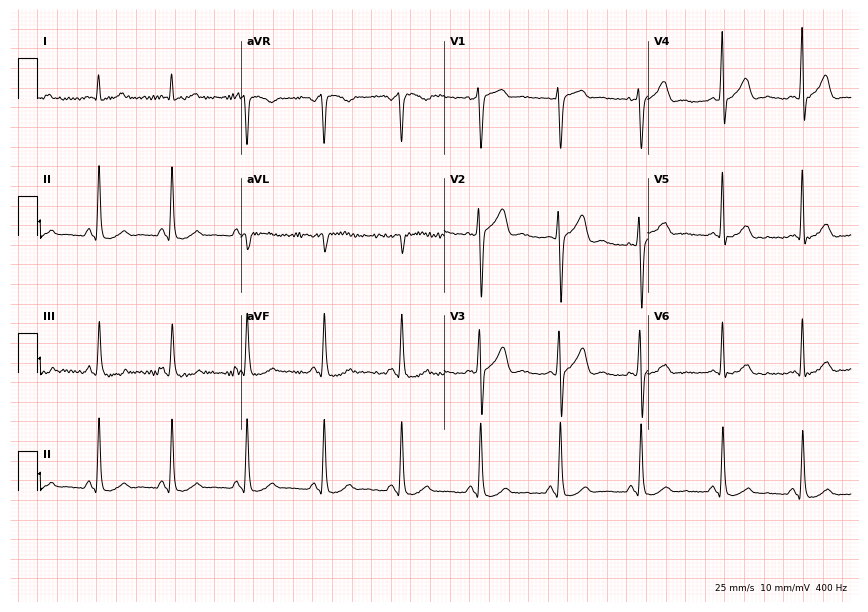
Resting 12-lead electrocardiogram. Patient: a 59-year-old female. Read as a normal ECG.